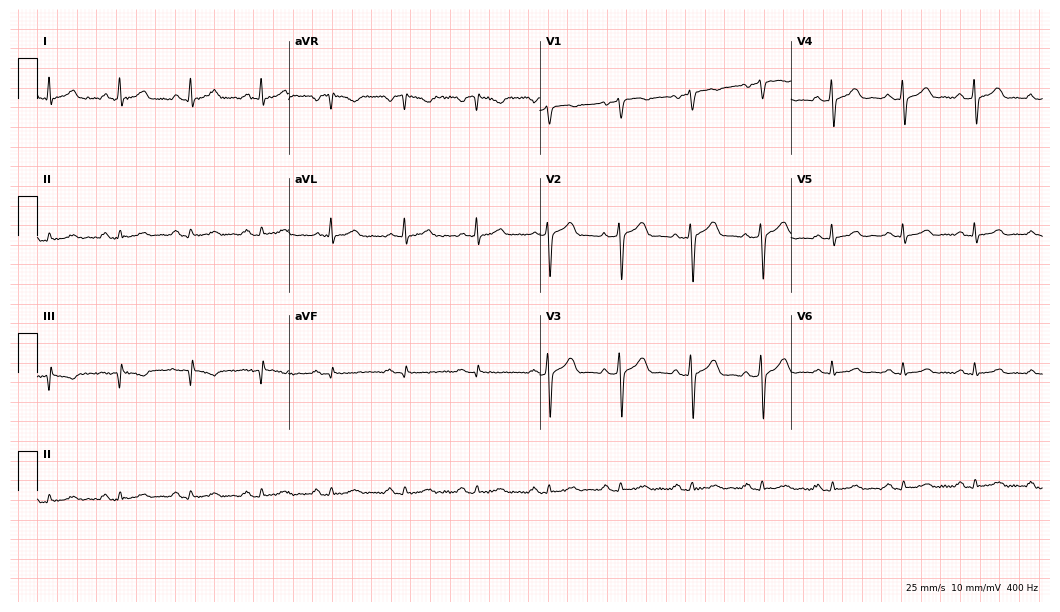
12-lead ECG from a male patient, 50 years old. Labelled as a normal ECG.